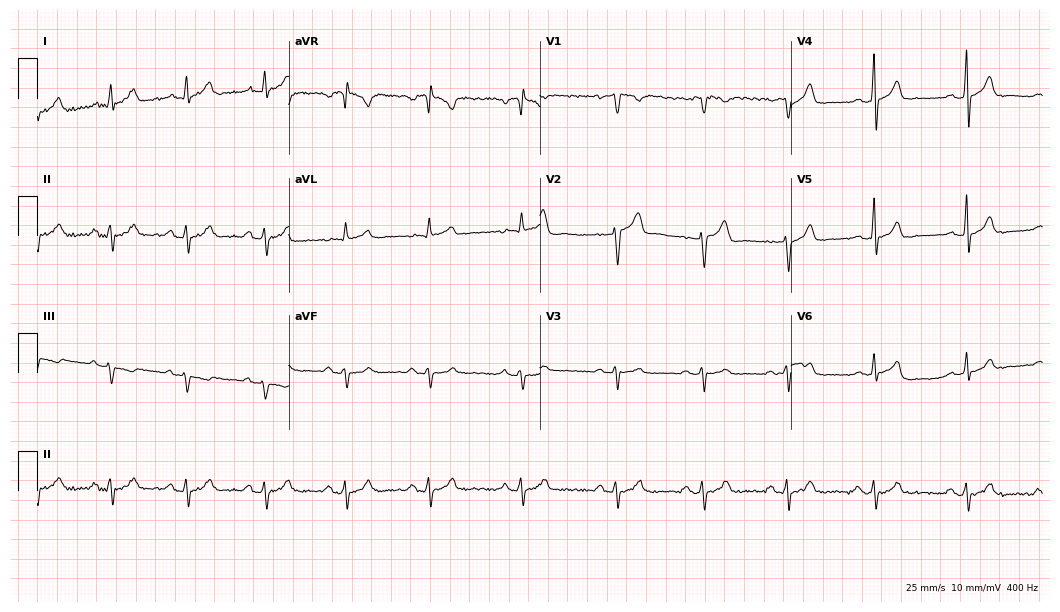
Standard 12-lead ECG recorded from a male, 40 years old. None of these six findings is recorded: first-degree AV block, right bundle branch block, left bundle branch block, sinus bradycardia, atrial fibrillation, sinus tachycardia.